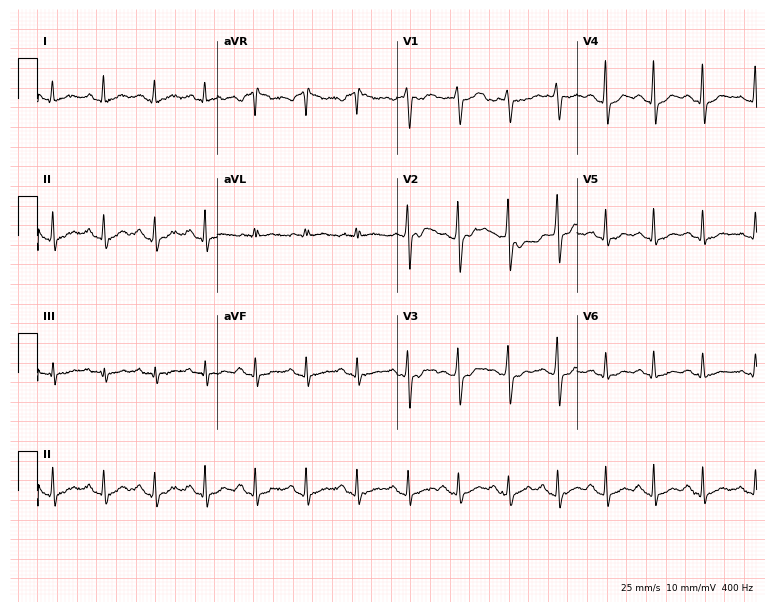
Standard 12-lead ECG recorded from a 38-year-old female. The tracing shows sinus tachycardia (a sinus rate of 100 beats per minute or more).